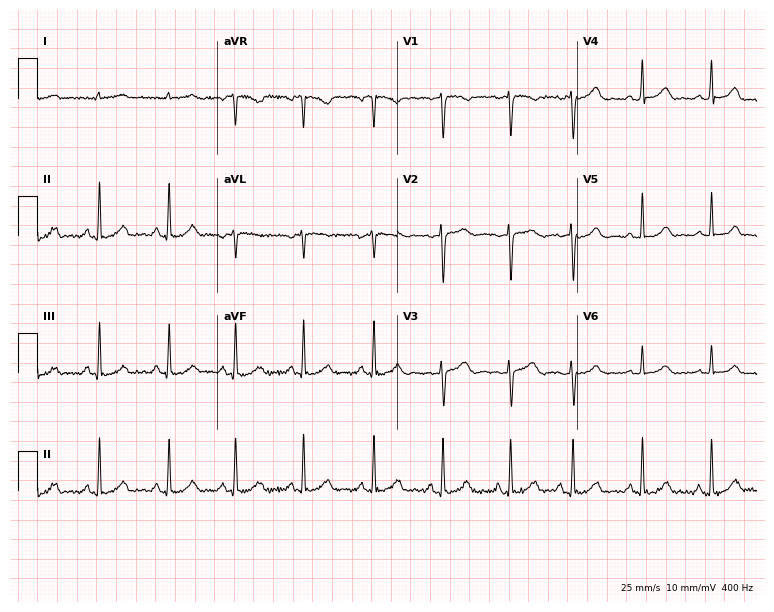
12-lead ECG from a 32-year-old female patient. Screened for six findings — first-degree AV block, right bundle branch block, left bundle branch block, sinus bradycardia, atrial fibrillation, sinus tachycardia — none is recorded.